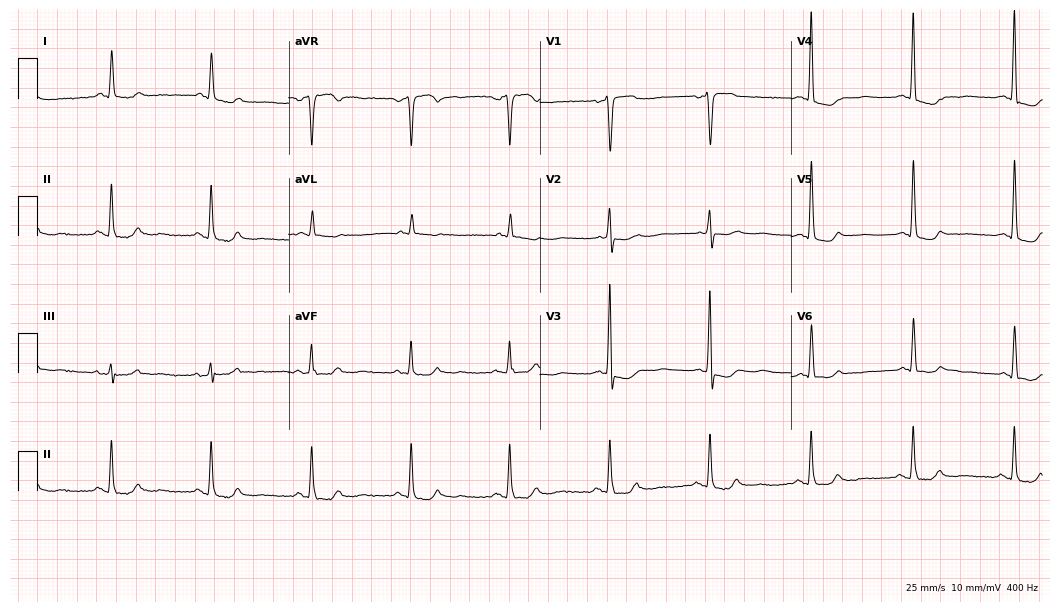
Resting 12-lead electrocardiogram. Patient: a female, 84 years old. None of these six findings is recorded: first-degree AV block, right bundle branch block, left bundle branch block, sinus bradycardia, atrial fibrillation, sinus tachycardia.